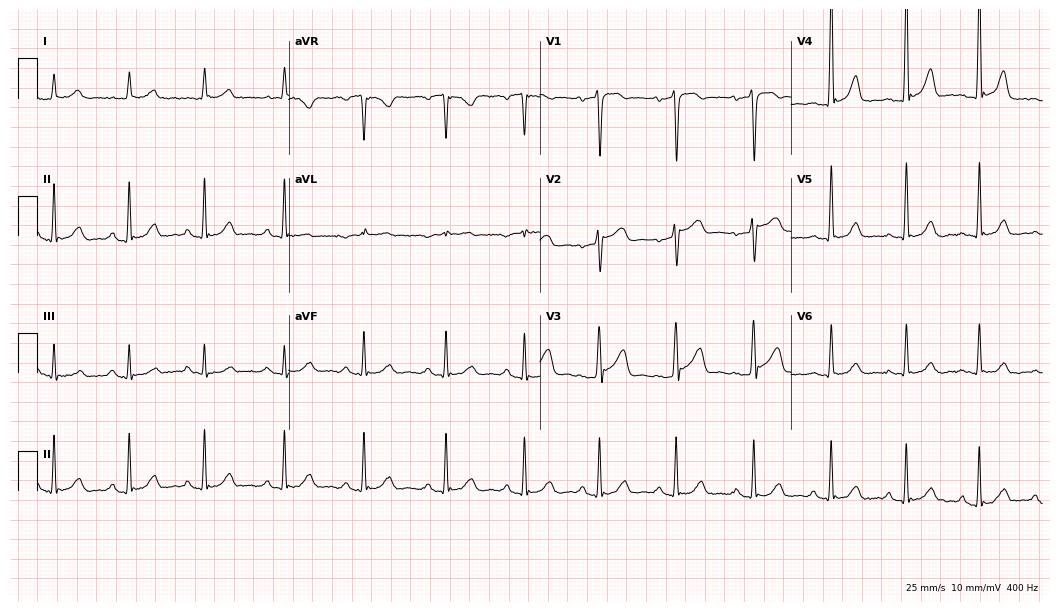
Electrocardiogram (10.2-second recording at 400 Hz), a male, 43 years old. Of the six screened findings (first-degree AV block, right bundle branch block, left bundle branch block, sinus bradycardia, atrial fibrillation, sinus tachycardia), none is recorded.